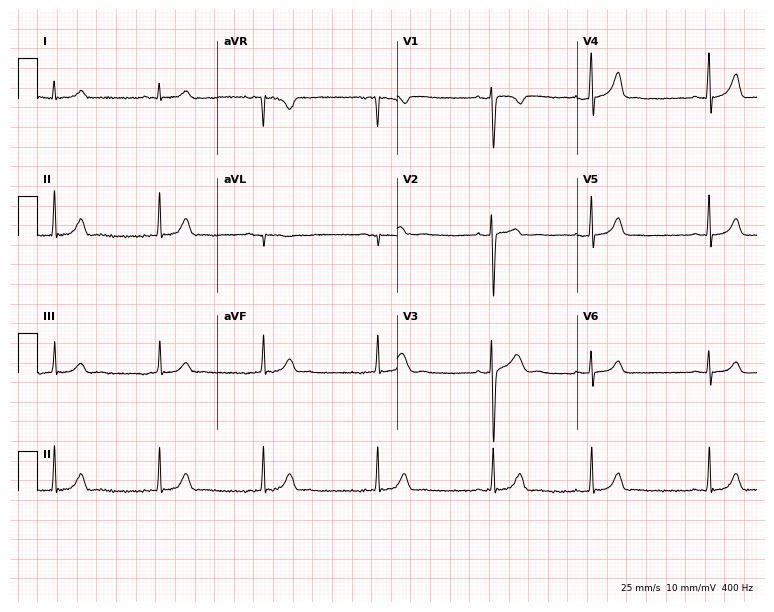
Resting 12-lead electrocardiogram (7.3-second recording at 400 Hz). Patient: a woman, 23 years old. None of these six findings is recorded: first-degree AV block, right bundle branch block, left bundle branch block, sinus bradycardia, atrial fibrillation, sinus tachycardia.